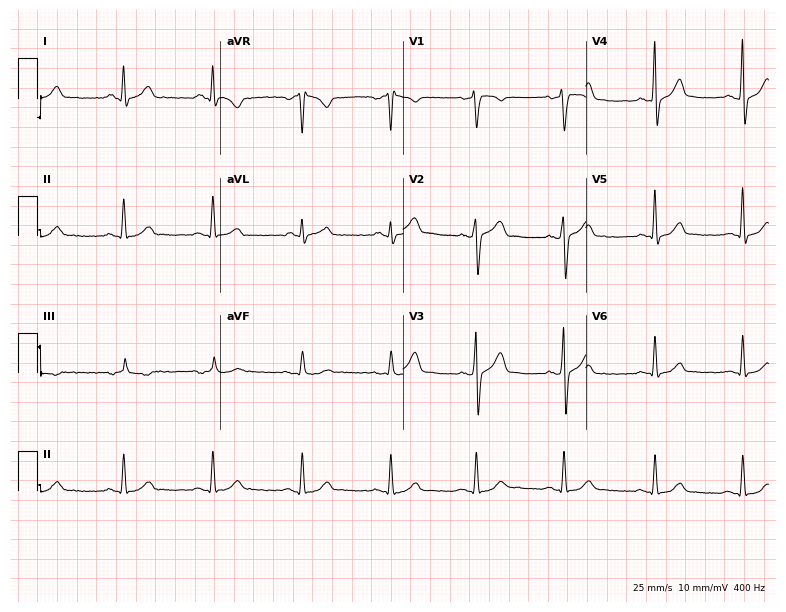
12-lead ECG (7.5-second recording at 400 Hz) from a male patient, 28 years old. Labelled as a normal ECG.